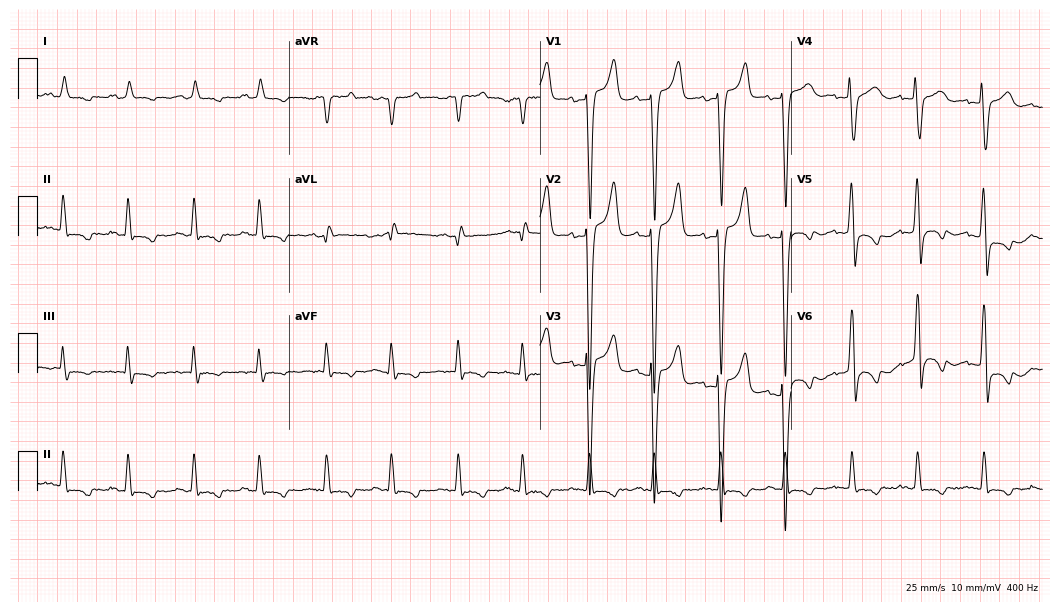
12-lead ECG from a male patient, 48 years old. No first-degree AV block, right bundle branch block, left bundle branch block, sinus bradycardia, atrial fibrillation or sinus tachycardia recorded for this tracing. Only these six findings were labelled.